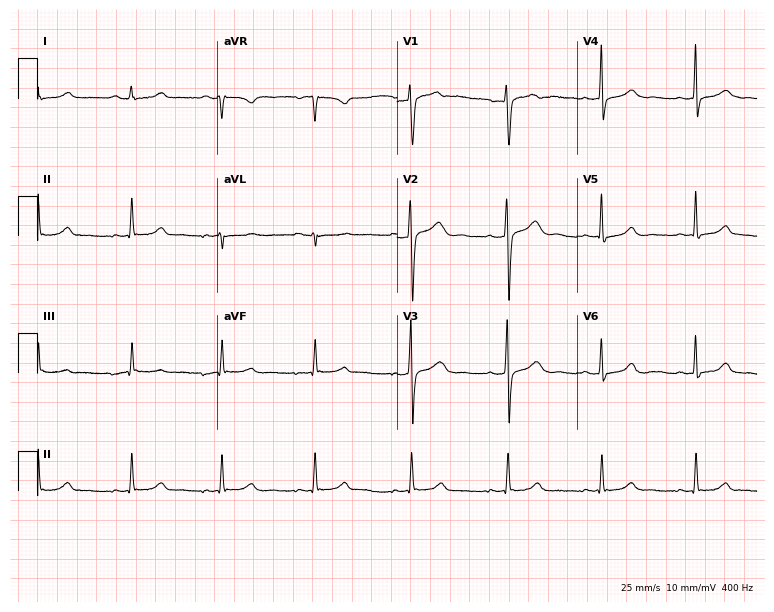
ECG (7.3-second recording at 400 Hz) — a 32-year-old woman. Screened for six findings — first-degree AV block, right bundle branch block, left bundle branch block, sinus bradycardia, atrial fibrillation, sinus tachycardia — none is recorded.